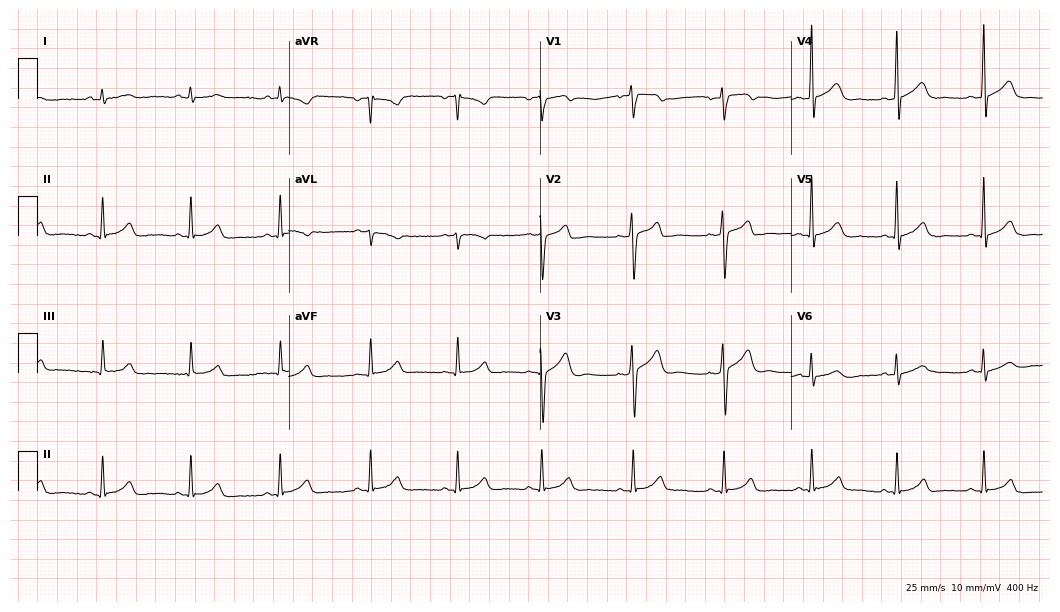
Electrocardiogram (10.2-second recording at 400 Hz), a 39-year-old man. Of the six screened findings (first-degree AV block, right bundle branch block, left bundle branch block, sinus bradycardia, atrial fibrillation, sinus tachycardia), none is recorded.